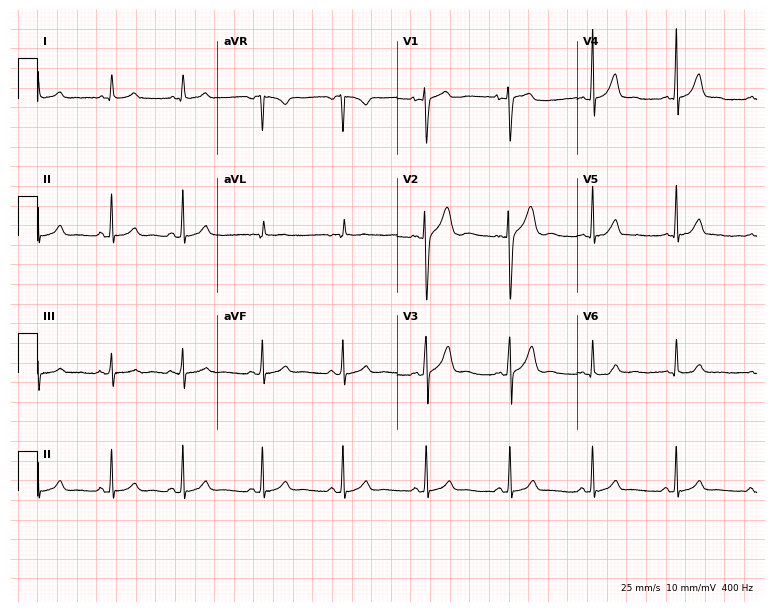
Electrocardiogram (7.3-second recording at 400 Hz), a 20-year-old woman. Overall reading on record: normal ECG.